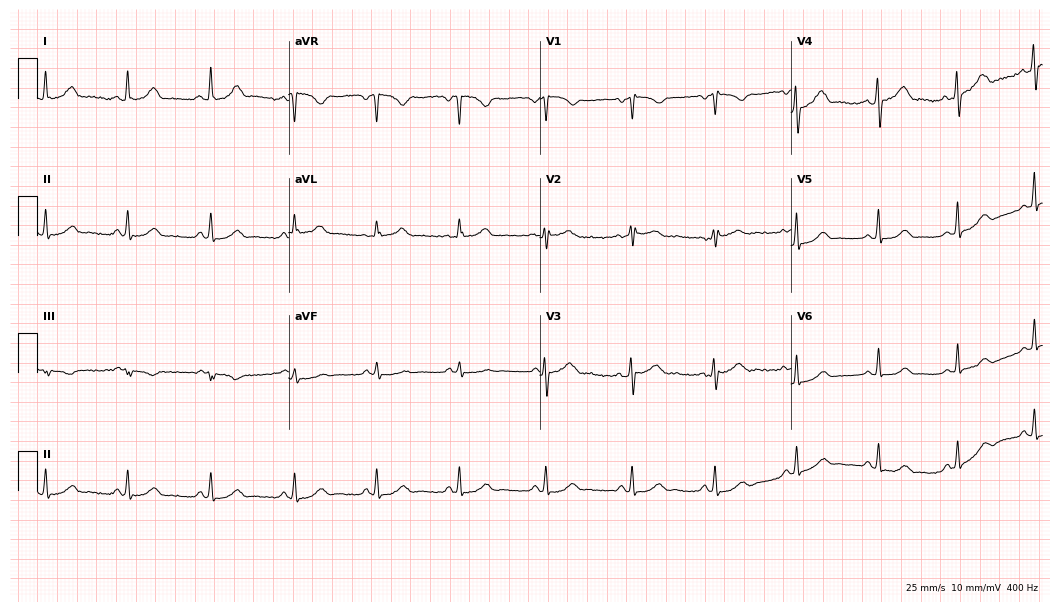
Resting 12-lead electrocardiogram (10.2-second recording at 400 Hz). Patient: a 40-year-old female. Read as a normal ECG.